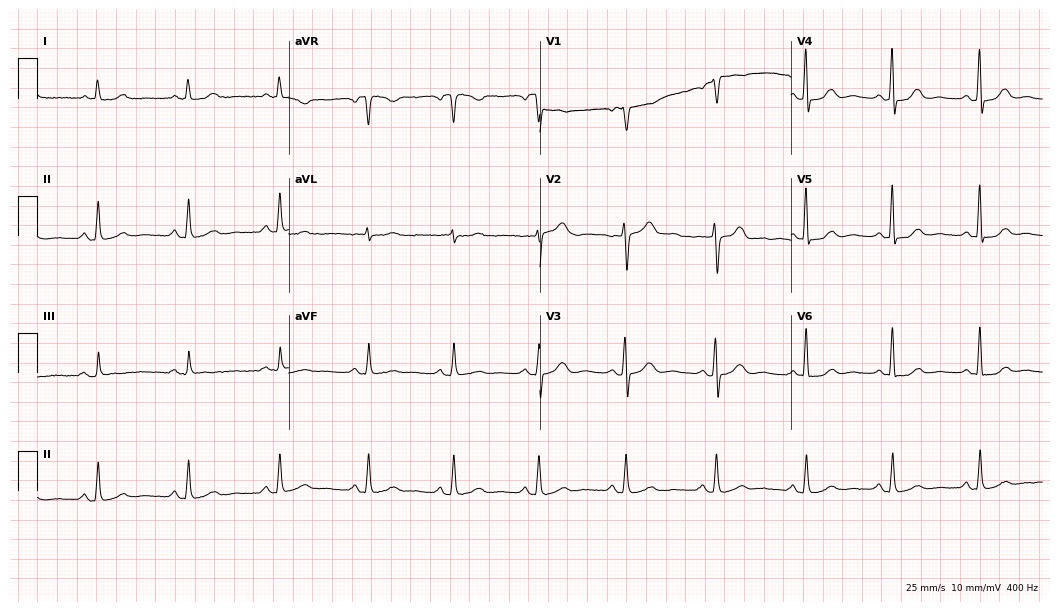
ECG — a 56-year-old woman. Screened for six findings — first-degree AV block, right bundle branch block (RBBB), left bundle branch block (LBBB), sinus bradycardia, atrial fibrillation (AF), sinus tachycardia — none is recorded. Findings outside these six are not listed.